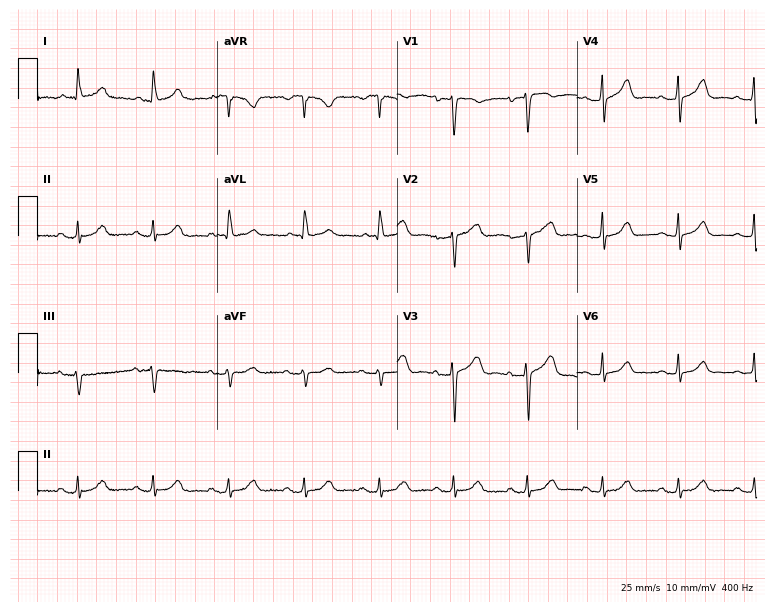
12-lead ECG from a woman, 69 years old. Recorded interpretation: within normal limits.